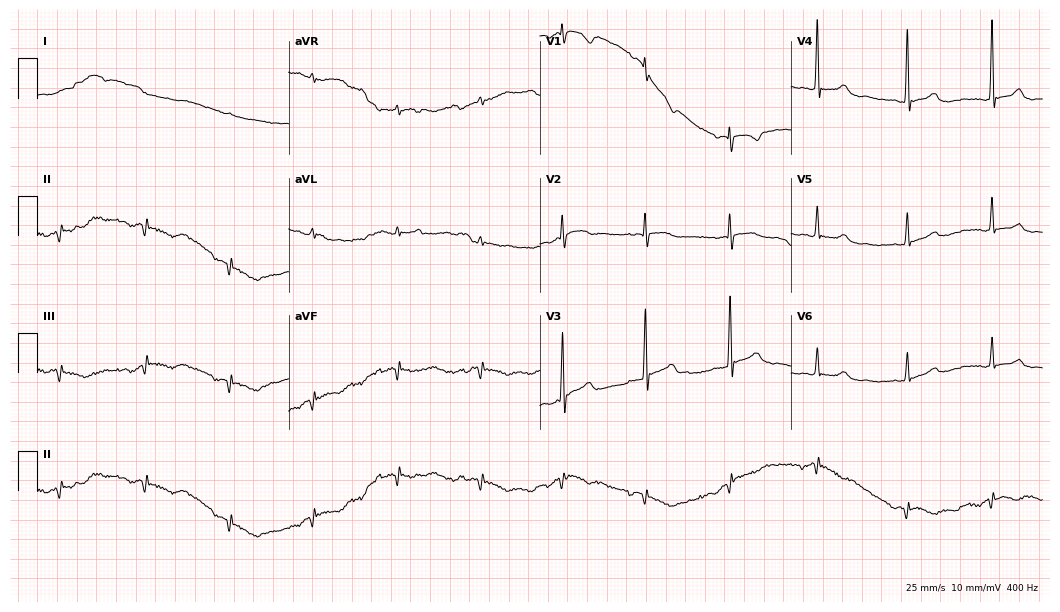
12-lead ECG from a female, 51 years old (10.2-second recording at 400 Hz). No first-degree AV block, right bundle branch block, left bundle branch block, sinus bradycardia, atrial fibrillation or sinus tachycardia recorded for this tracing.